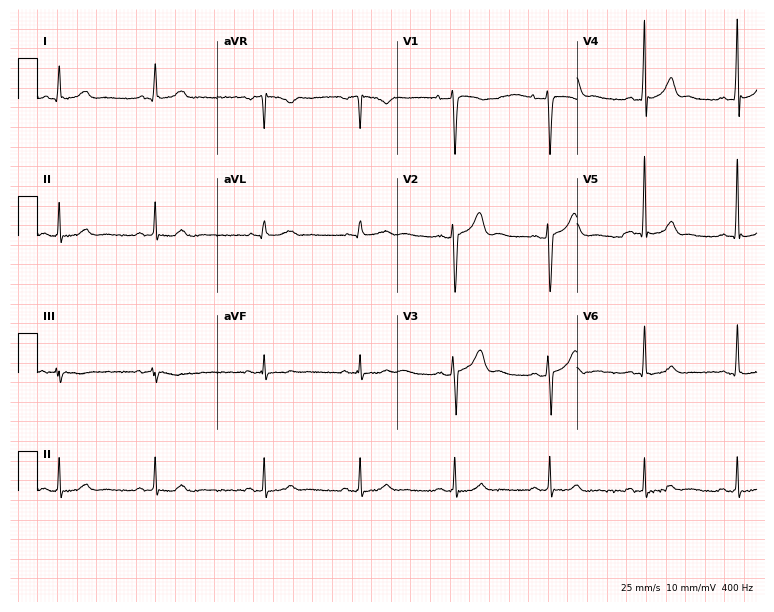
12-lead ECG from a male, 27 years old. Recorded interpretation: within normal limits.